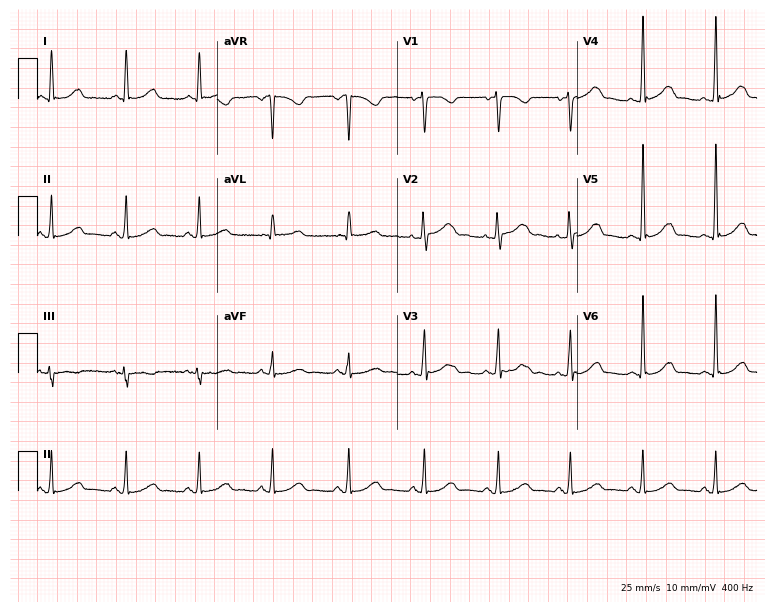
Standard 12-lead ECG recorded from a woman, 48 years old (7.3-second recording at 400 Hz). Read as a normal ECG.